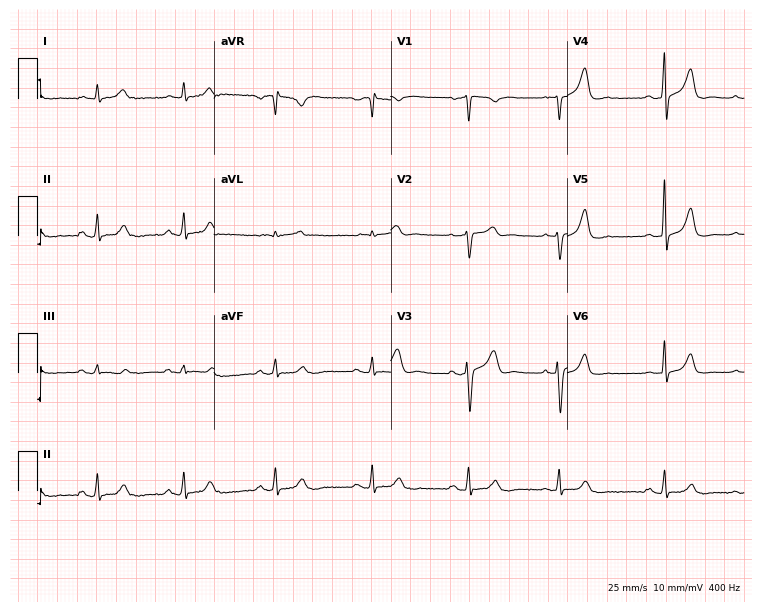
ECG (7.2-second recording at 400 Hz) — a 69-year-old male patient. Screened for six findings — first-degree AV block, right bundle branch block, left bundle branch block, sinus bradycardia, atrial fibrillation, sinus tachycardia — none is recorded. Findings outside these six are not listed.